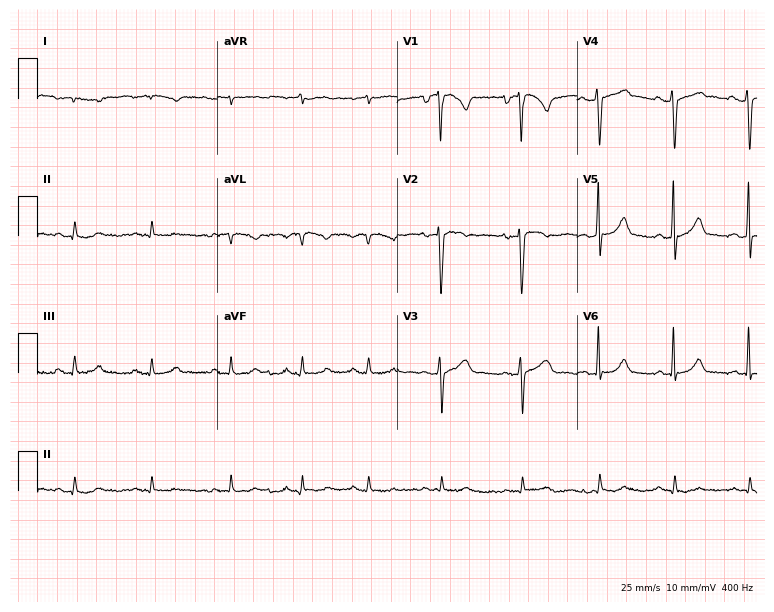
Electrocardiogram, a 19-year-old woman. Of the six screened findings (first-degree AV block, right bundle branch block (RBBB), left bundle branch block (LBBB), sinus bradycardia, atrial fibrillation (AF), sinus tachycardia), none is recorded. Other findings, if any, are not listed.